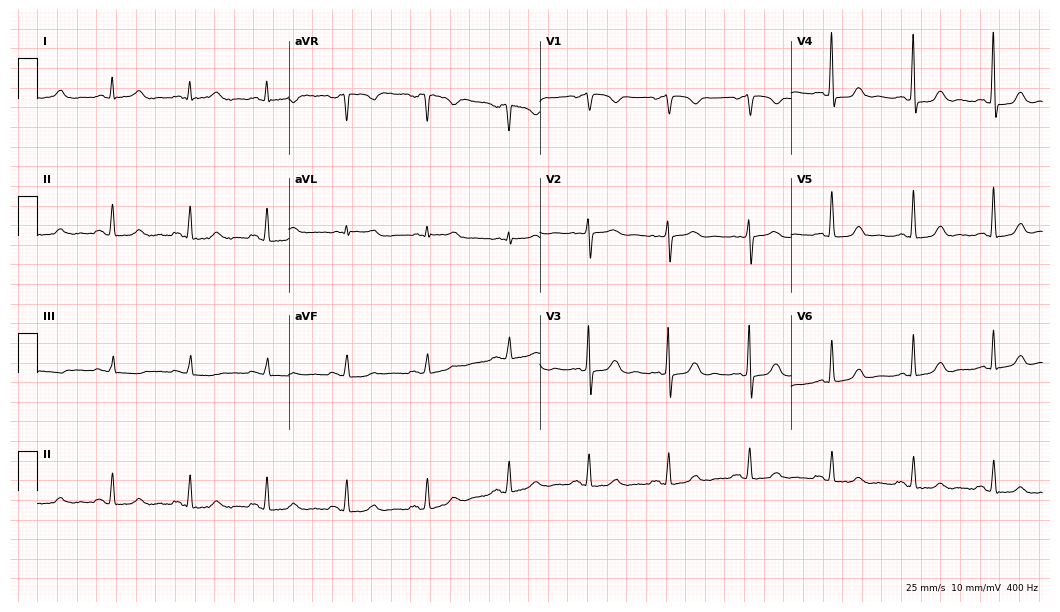
12-lead ECG from a female patient, 64 years old. Labelled as a normal ECG.